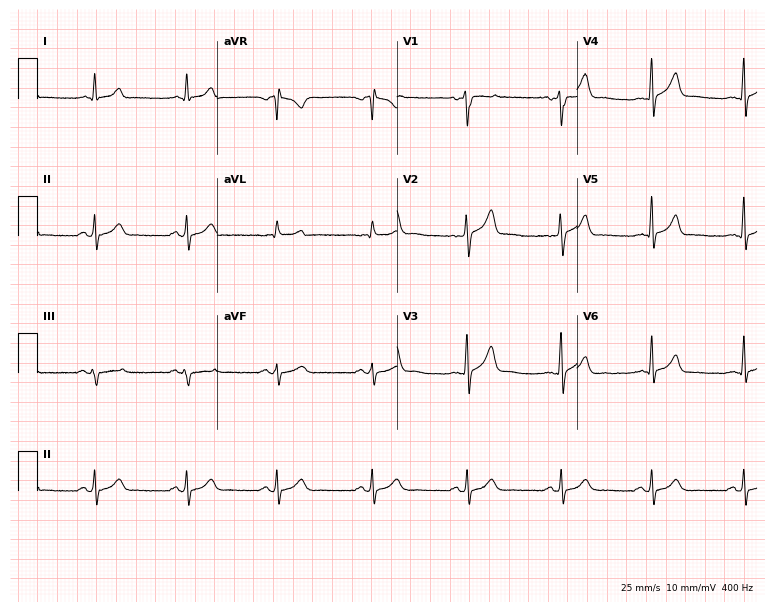
ECG (7.3-second recording at 400 Hz) — a male patient, 37 years old. Labelled as a normal ECG.